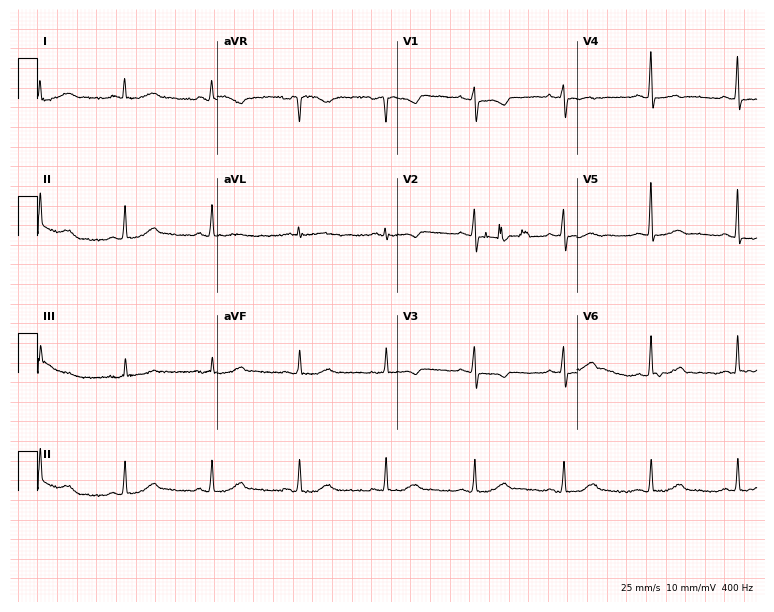
12-lead ECG from a female, 61 years old. Recorded interpretation: within normal limits.